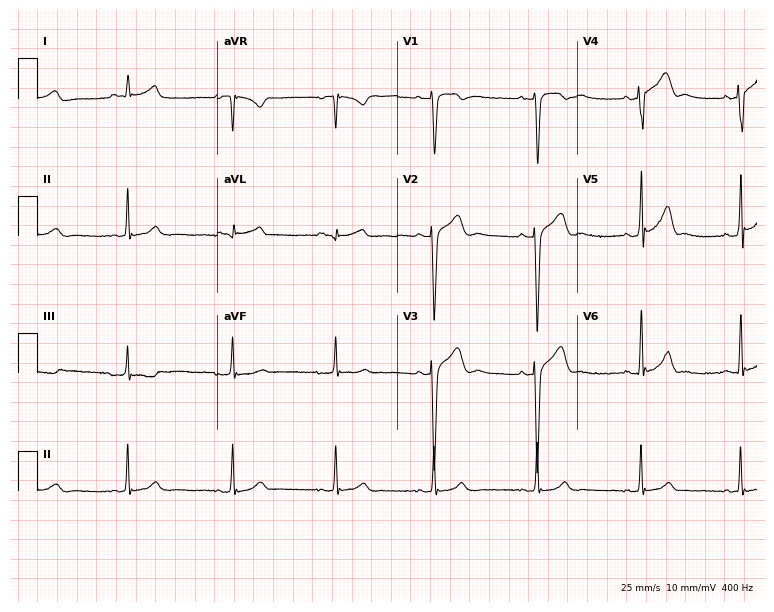
Electrocardiogram (7.3-second recording at 400 Hz), a male patient, 26 years old. Overall reading on record: normal ECG.